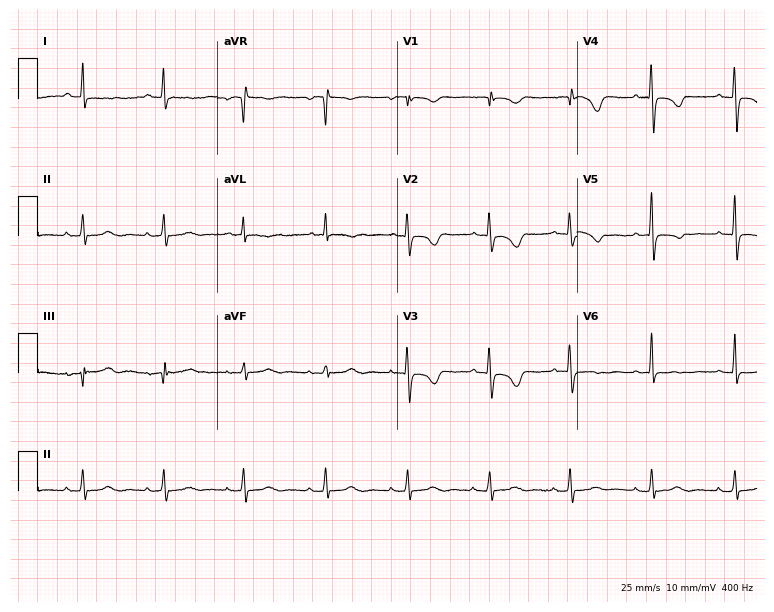
12-lead ECG from a female patient, 71 years old. No first-degree AV block, right bundle branch block, left bundle branch block, sinus bradycardia, atrial fibrillation or sinus tachycardia recorded for this tracing.